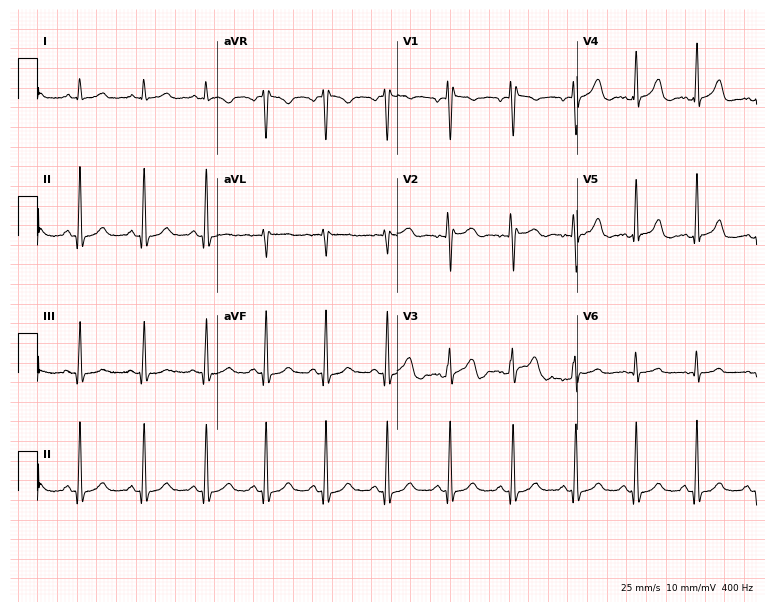
Electrocardiogram, a 27-year-old female. Overall reading on record: normal ECG.